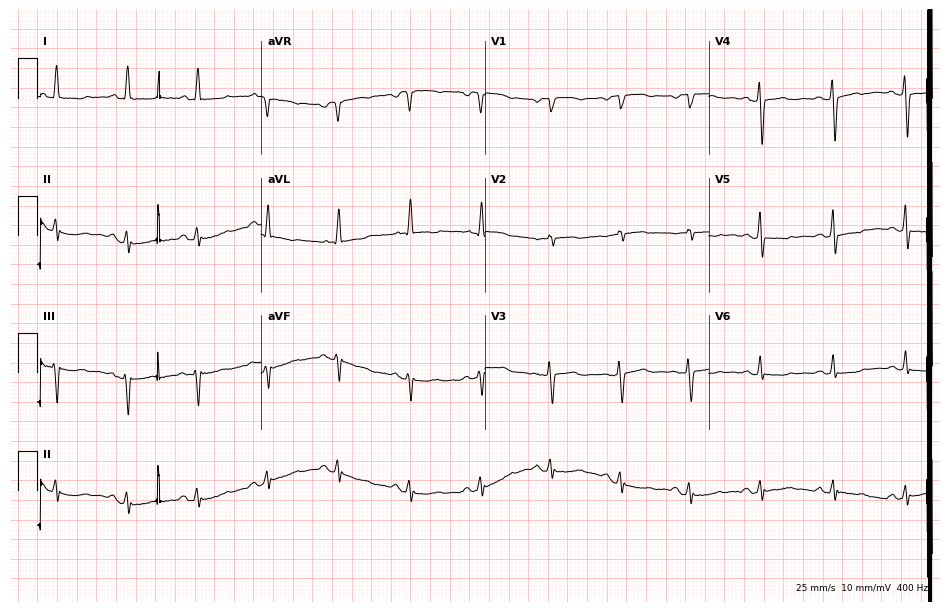
ECG — a woman, 69 years old. Screened for six findings — first-degree AV block, right bundle branch block (RBBB), left bundle branch block (LBBB), sinus bradycardia, atrial fibrillation (AF), sinus tachycardia — none is recorded. Only these six findings were labelled.